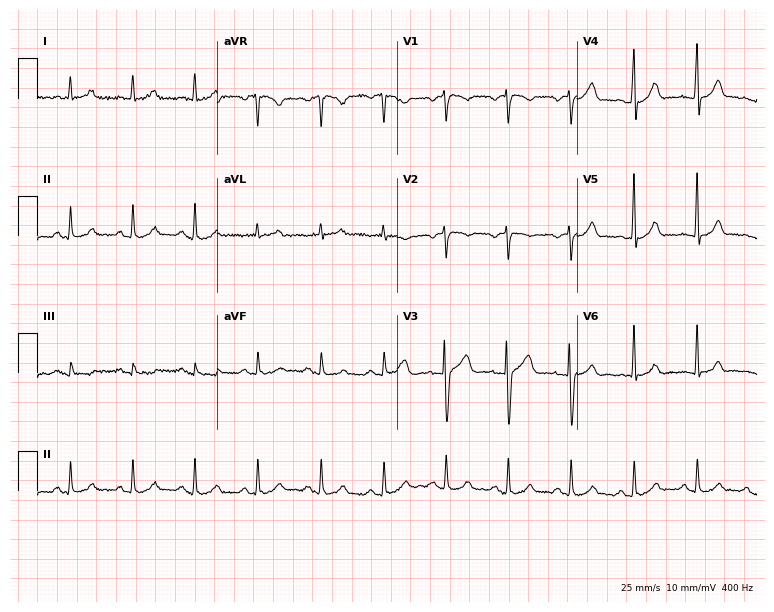
12-lead ECG from a man, 45 years old. No first-degree AV block, right bundle branch block (RBBB), left bundle branch block (LBBB), sinus bradycardia, atrial fibrillation (AF) or sinus tachycardia recorded for this tracing. Findings outside these six are not listed.